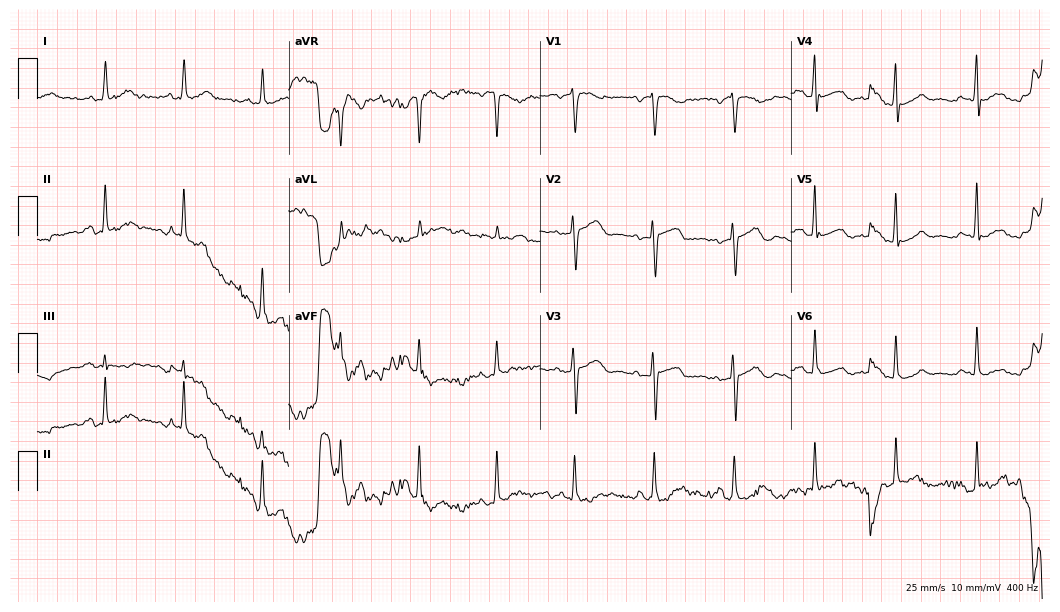
Resting 12-lead electrocardiogram (10.2-second recording at 400 Hz). Patient: a 66-year-old female. Read as a normal ECG.